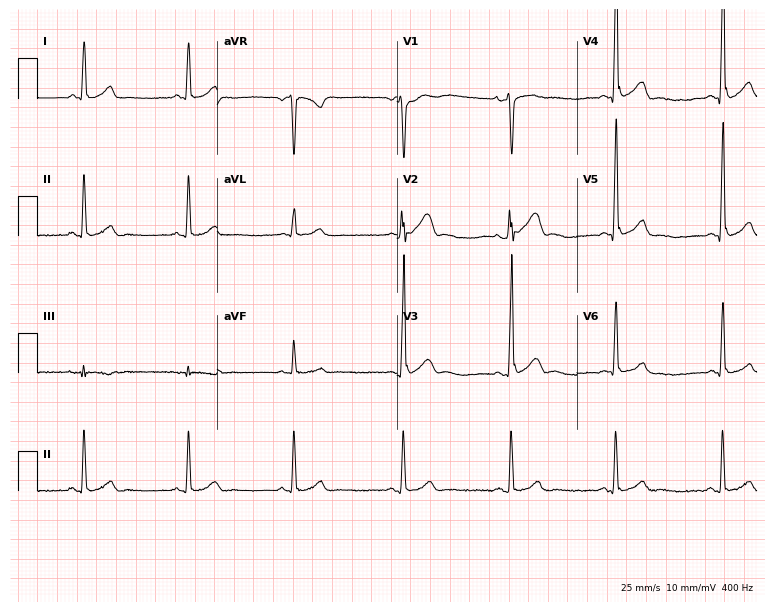
12-lead ECG from a 42-year-old female patient. No first-degree AV block, right bundle branch block, left bundle branch block, sinus bradycardia, atrial fibrillation or sinus tachycardia recorded for this tracing. Only these six findings were labelled.